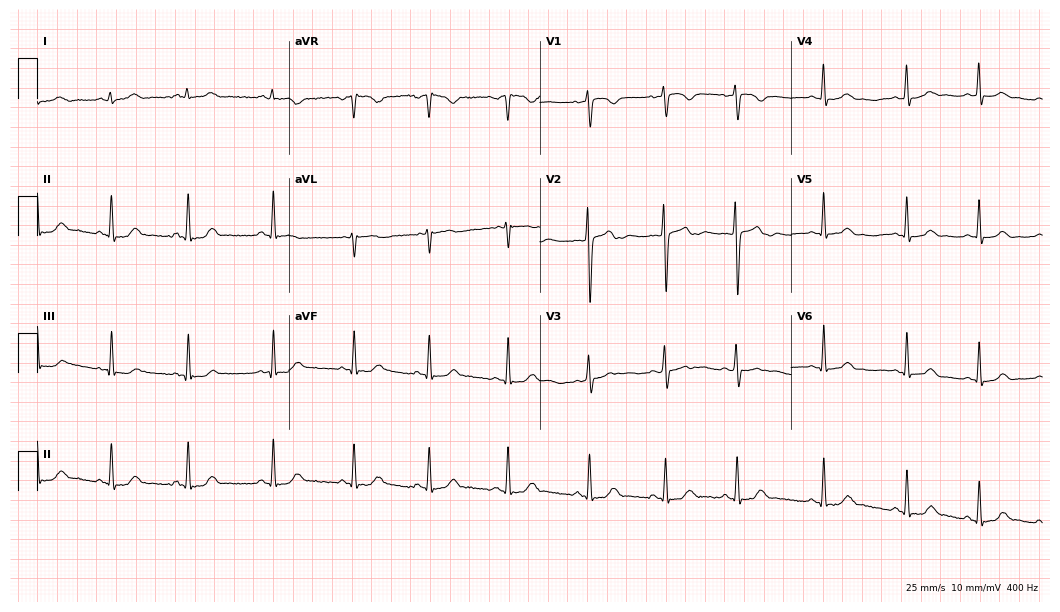
Standard 12-lead ECG recorded from a female patient, 19 years old (10.2-second recording at 400 Hz). Read as a normal ECG.